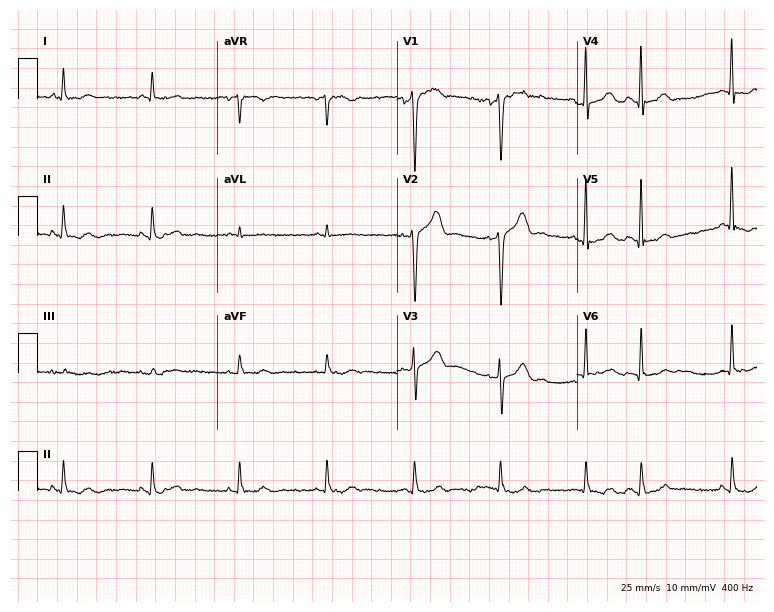
12-lead ECG from a 66-year-old male (7.3-second recording at 400 Hz). Recorded interpretation: within normal limits.